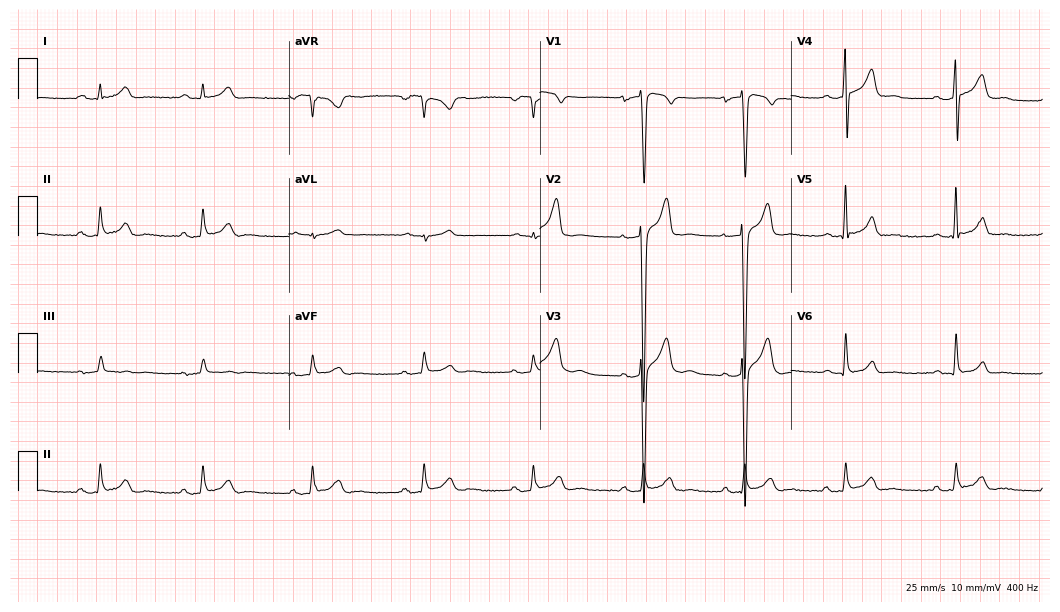
ECG — a 22-year-old male patient. Screened for six findings — first-degree AV block, right bundle branch block (RBBB), left bundle branch block (LBBB), sinus bradycardia, atrial fibrillation (AF), sinus tachycardia — none is recorded. Findings outside these six are not listed.